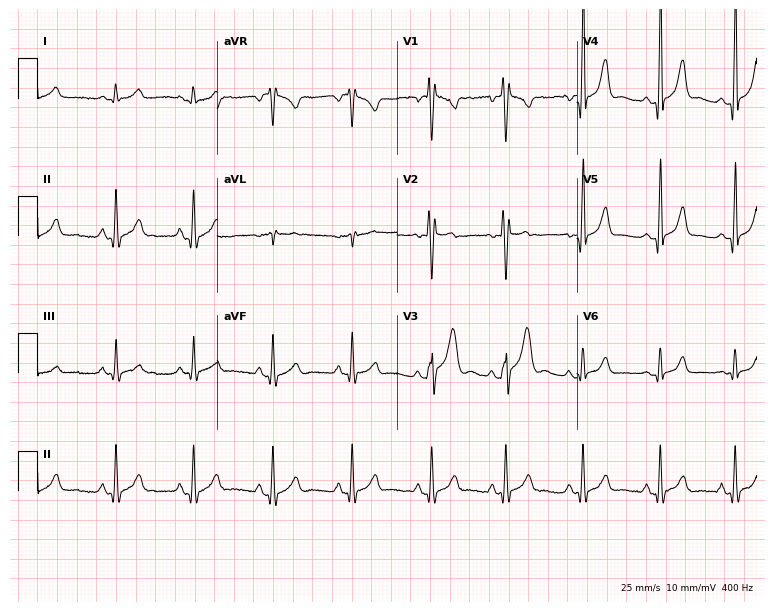
12-lead ECG from a man, 24 years old (7.3-second recording at 400 Hz). No first-degree AV block, right bundle branch block, left bundle branch block, sinus bradycardia, atrial fibrillation or sinus tachycardia recorded for this tracing.